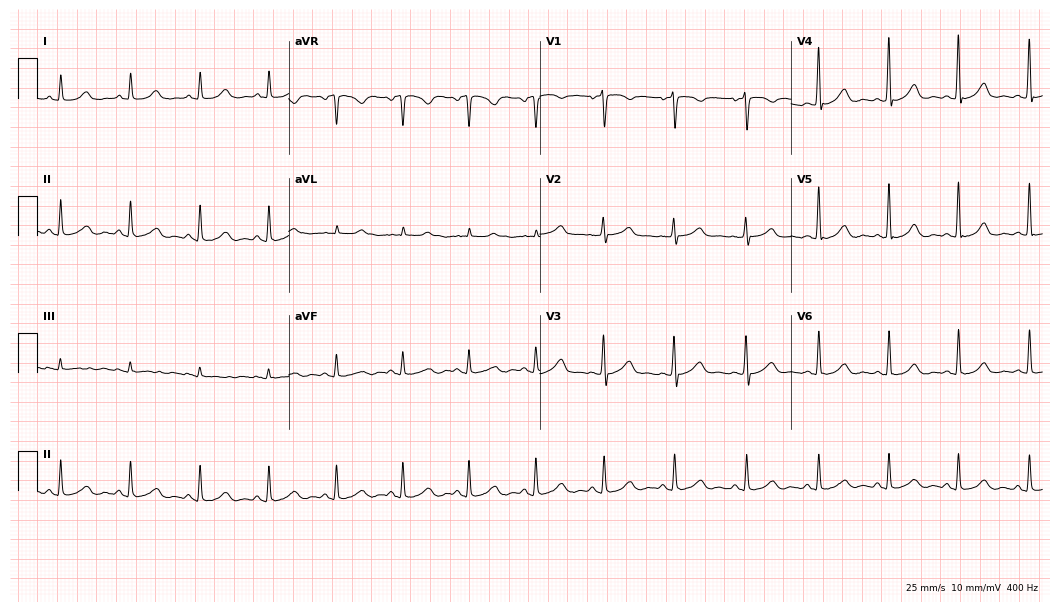
Standard 12-lead ECG recorded from a 40-year-old female. Read as a normal ECG.